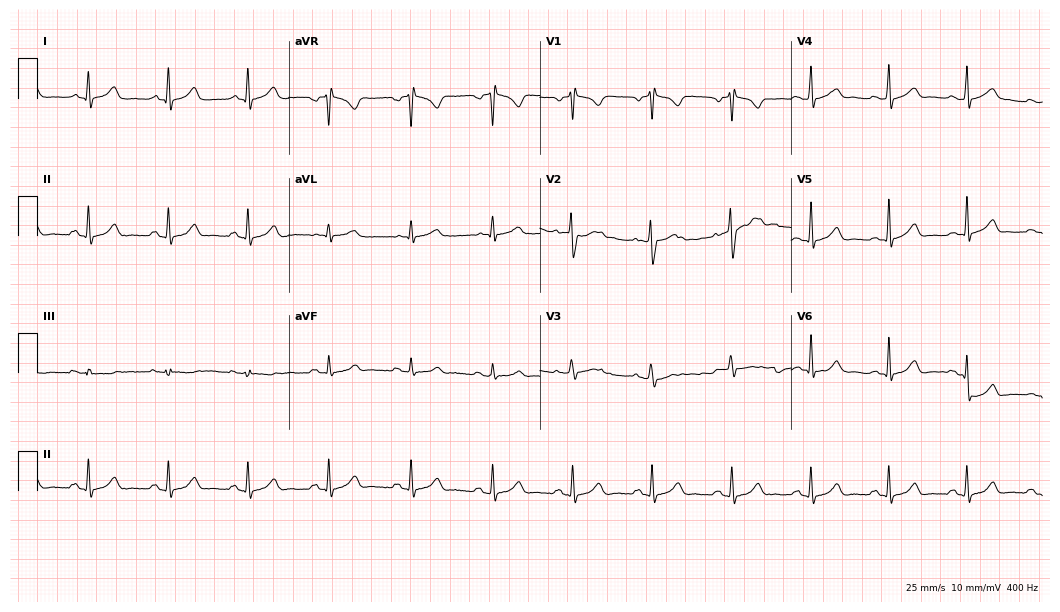
12-lead ECG from a woman, 31 years old. Labelled as a normal ECG.